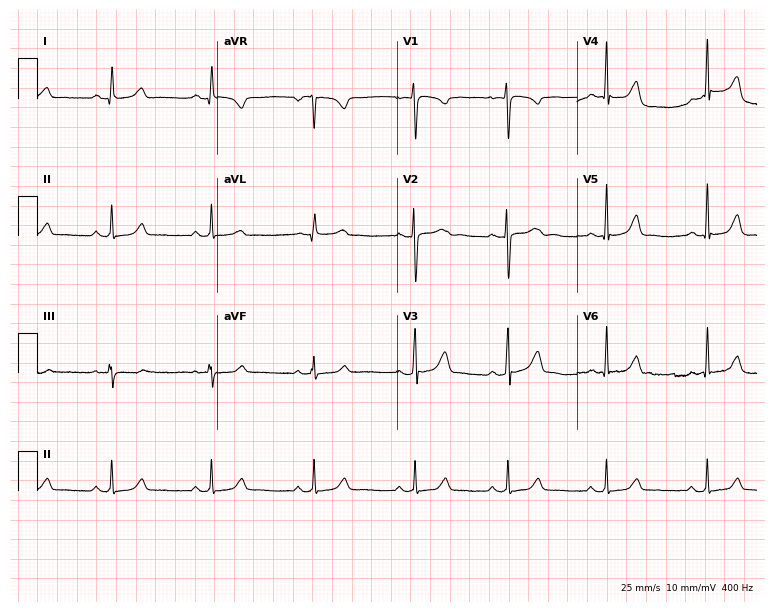
Electrocardiogram, a woman, 18 years old. Overall reading on record: normal ECG.